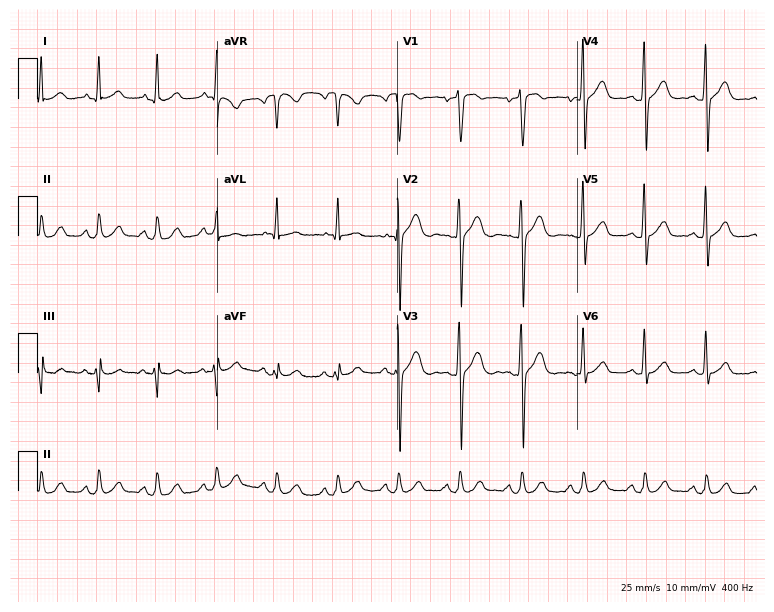
12-lead ECG (7.3-second recording at 400 Hz) from a 47-year-old male patient. Screened for six findings — first-degree AV block, right bundle branch block, left bundle branch block, sinus bradycardia, atrial fibrillation, sinus tachycardia — none is recorded. Findings outside these six are not listed.